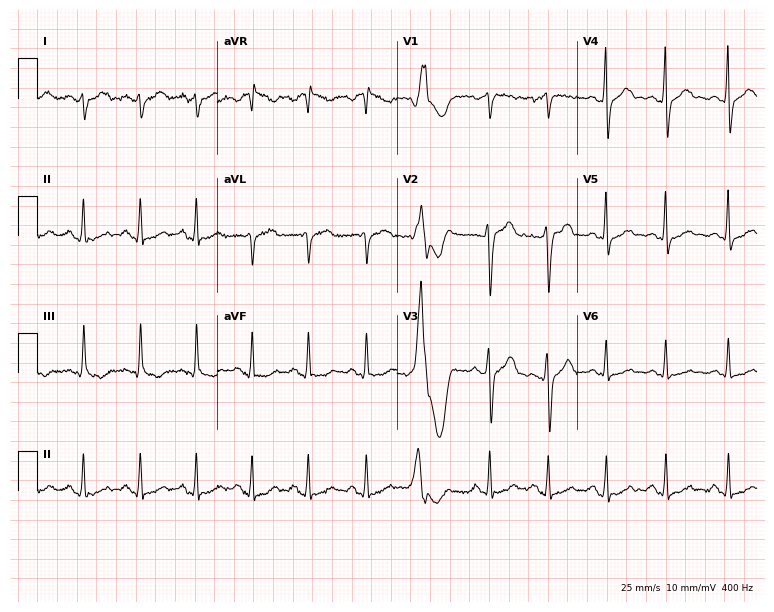
Electrocardiogram, a 36-year-old male. Interpretation includes sinus tachycardia (a sinus rate of 100 beats per minute or more).